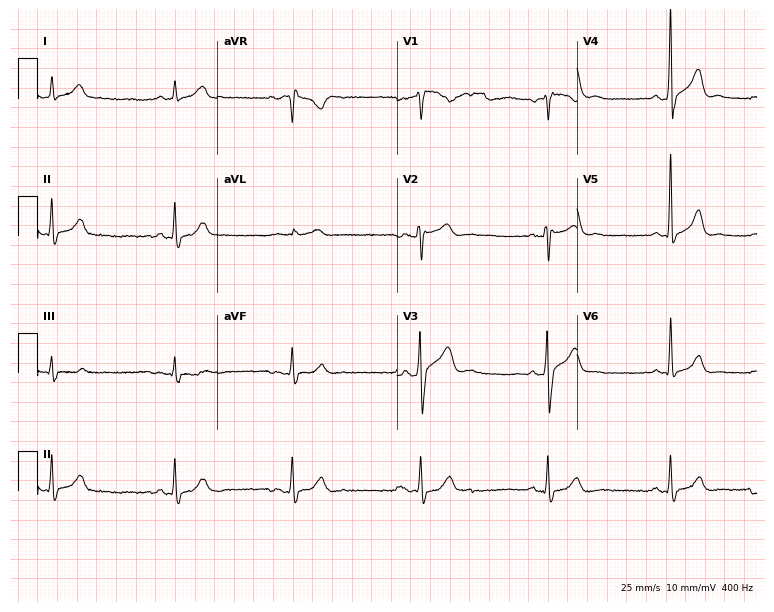
Resting 12-lead electrocardiogram (7.3-second recording at 400 Hz). Patient: a 34-year-old male. The tracing shows sinus bradycardia (a sinus rate of 50 beats per minute or less).